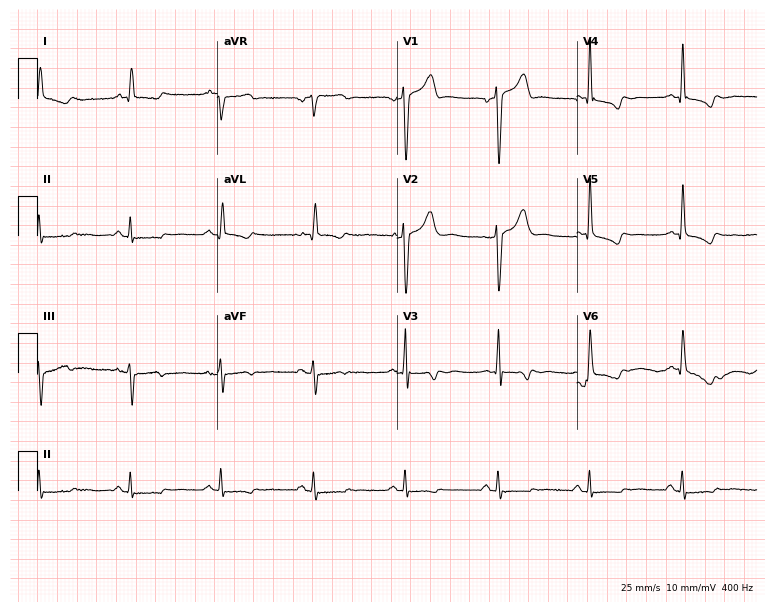
12-lead ECG from a 70-year-old male (7.3-second recording at 400 Hz). No first-degree AV block, right bundle branch block (RBBB), left bundle branch block (LBBB), sinus bradycardia, atrial fibrillation (AF) or sinus tachycardia recorded for this tracing.